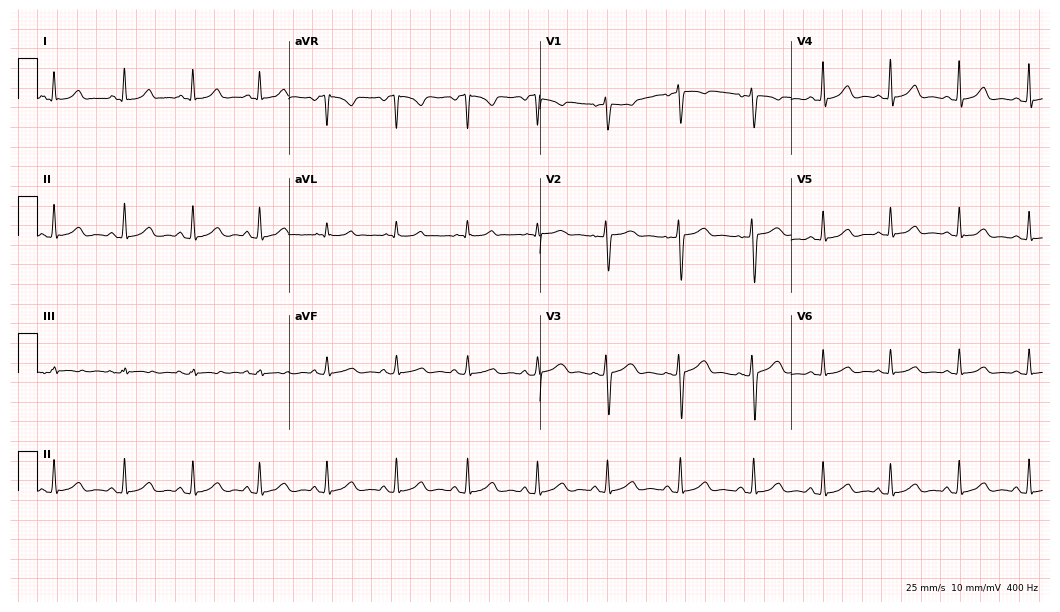
12-lead ECG (10.2-second recording at 400 Hz) from a male, 27 years old. Labelled as a normal ECG.